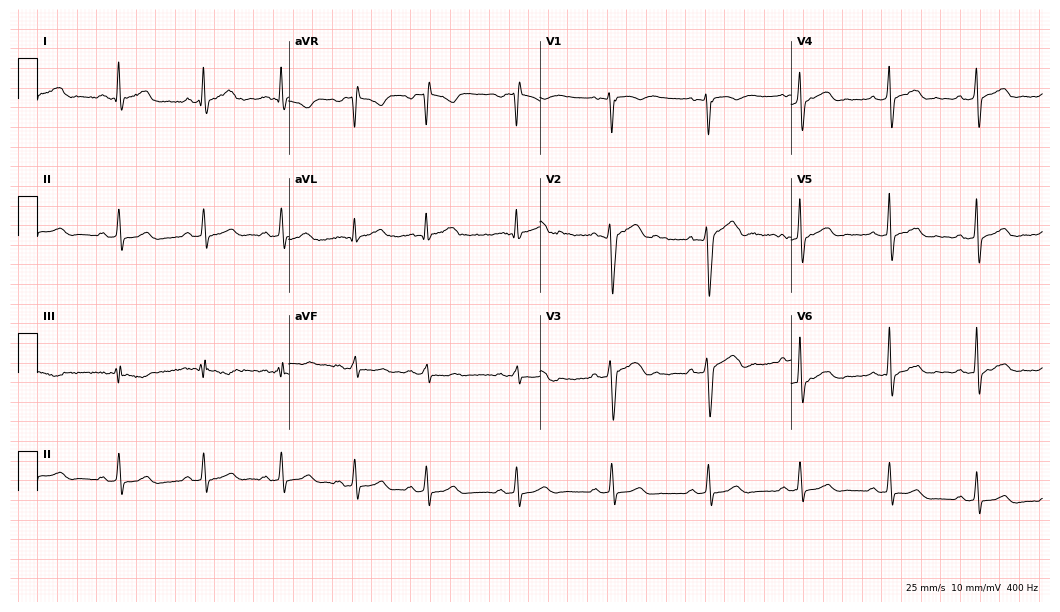
Standard 12-lead ECG recorded from a 38-year-old male patient. Read as a normal ECG.